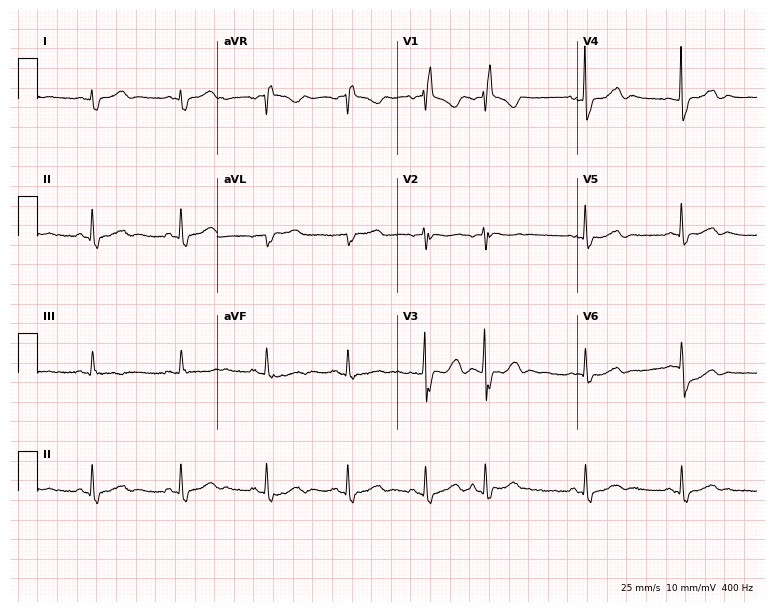
12-lead ECG from a female patient, 60 years old. Findings include right bundle branch block.